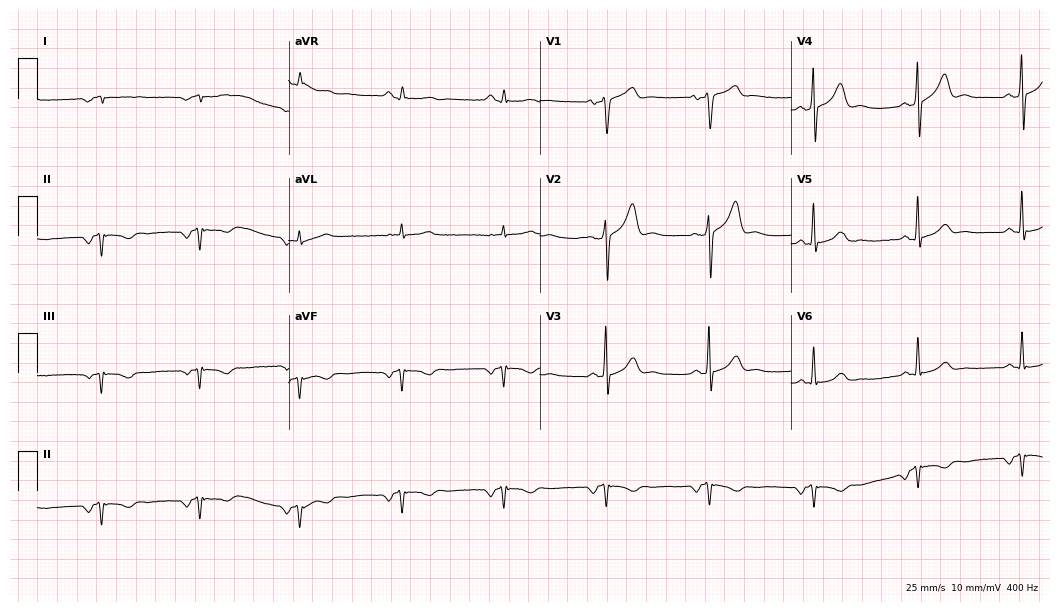
12-lead ECG (10.2-second recording at 400 Hz) from a 70-year-old man. Screened for six findings — first-degree AV block, right bundle branch block, left bundle branch block, sinus bradycardia, atrial fibrillation, sinus tachycardia — none is recorded. Findings outside these six are not listed.